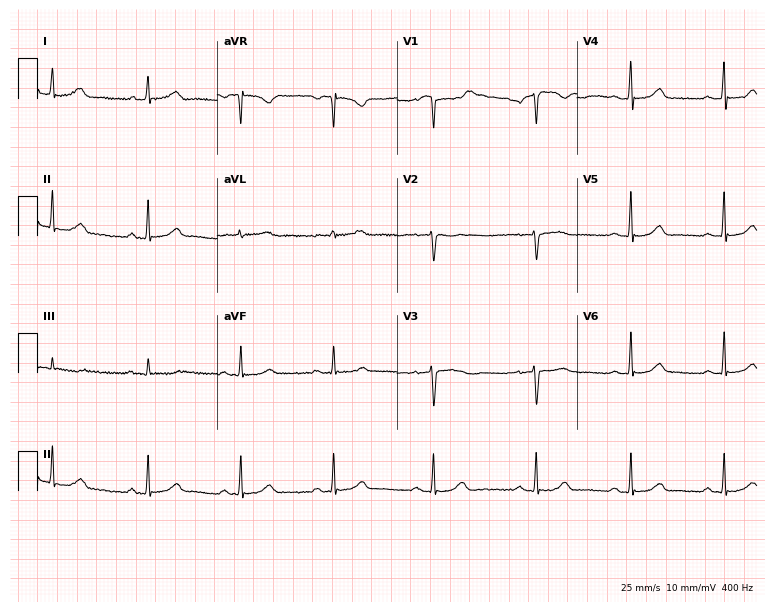
ECG — a 54-year-old female. Labelled as a normal ECG.